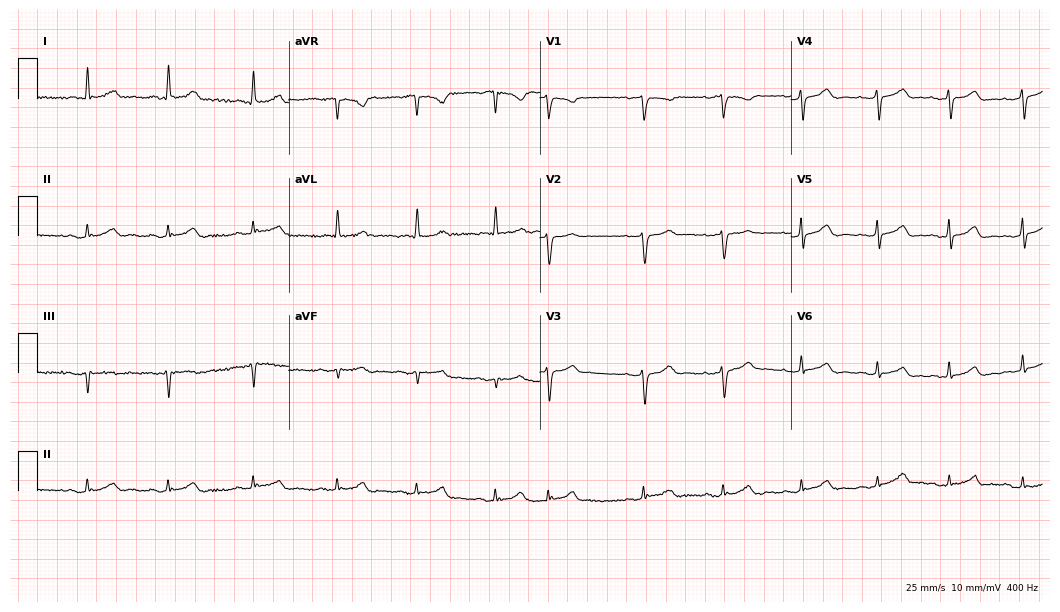
Electrocardiogram, a 74-year-old female. Overall reading on record: normal ECG.